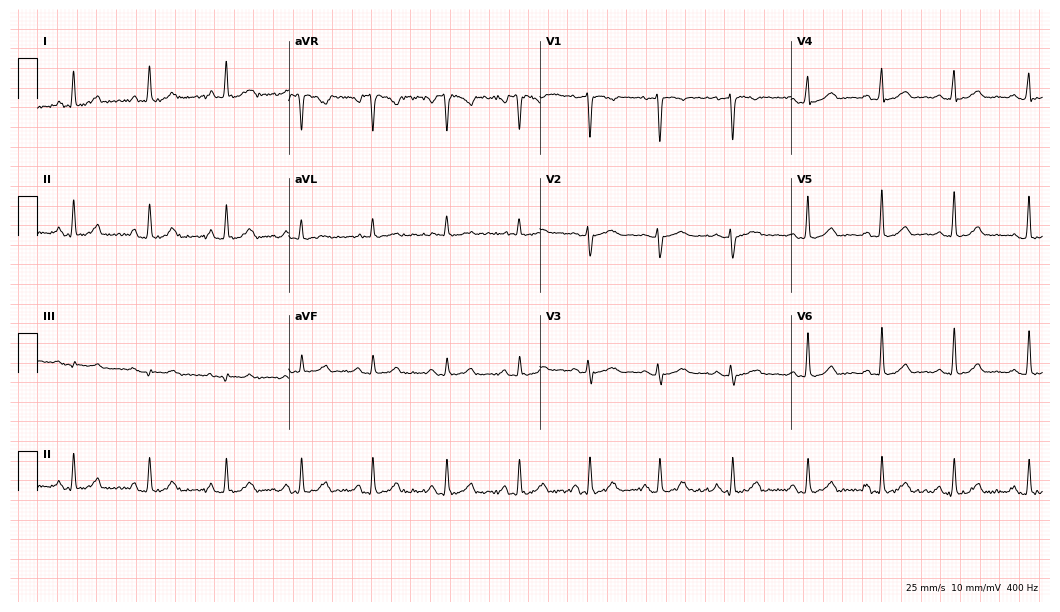
12-lead ECG from a female patient, 35 years old. Labelled as a normal ECG.